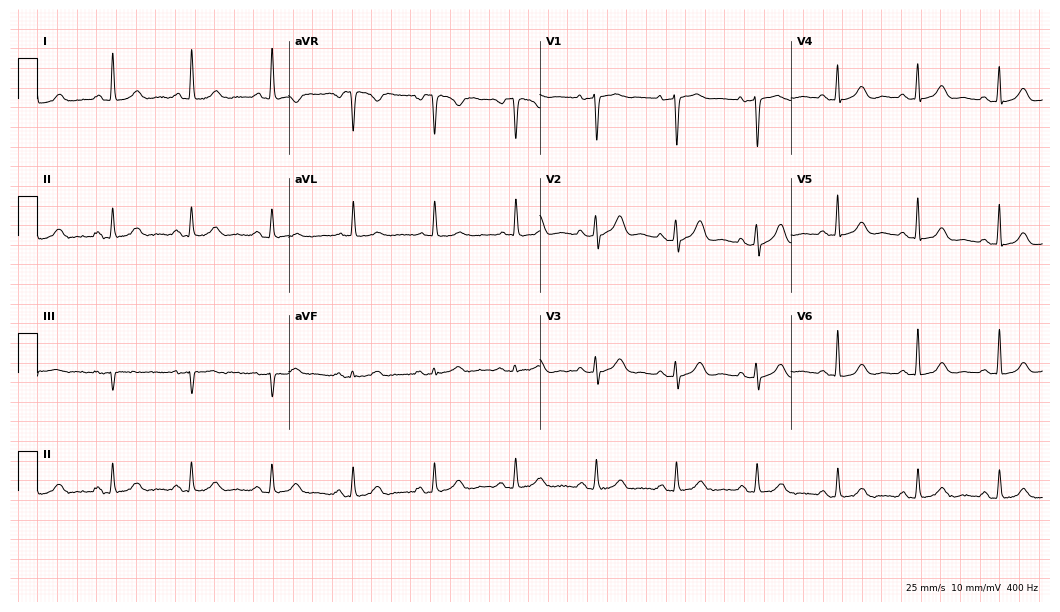
Electrocardiogram, a 72-year-old woman. Overall reading on record: normal ECG.